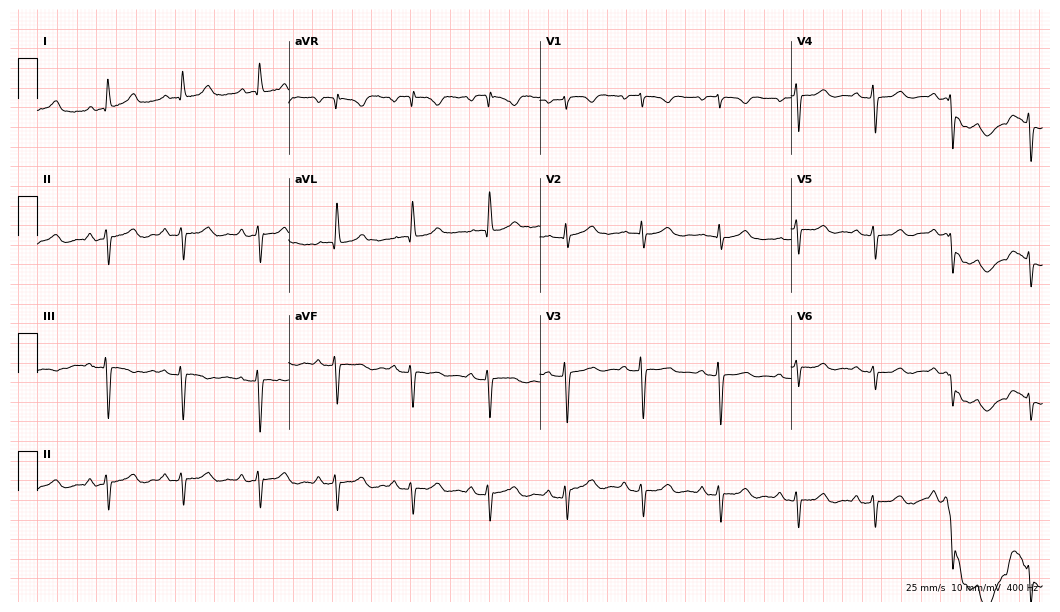
12-lead ECG (10.2-second recording at 400 Hz) from a man, 67 years old. Screened for six findings — first-degree AV block, right bundle branch block, left bundle branch block, sinus bradycardia, atrial fibrillation, sinus tachycardia — none is recorded. Findings outside these six are not listed.